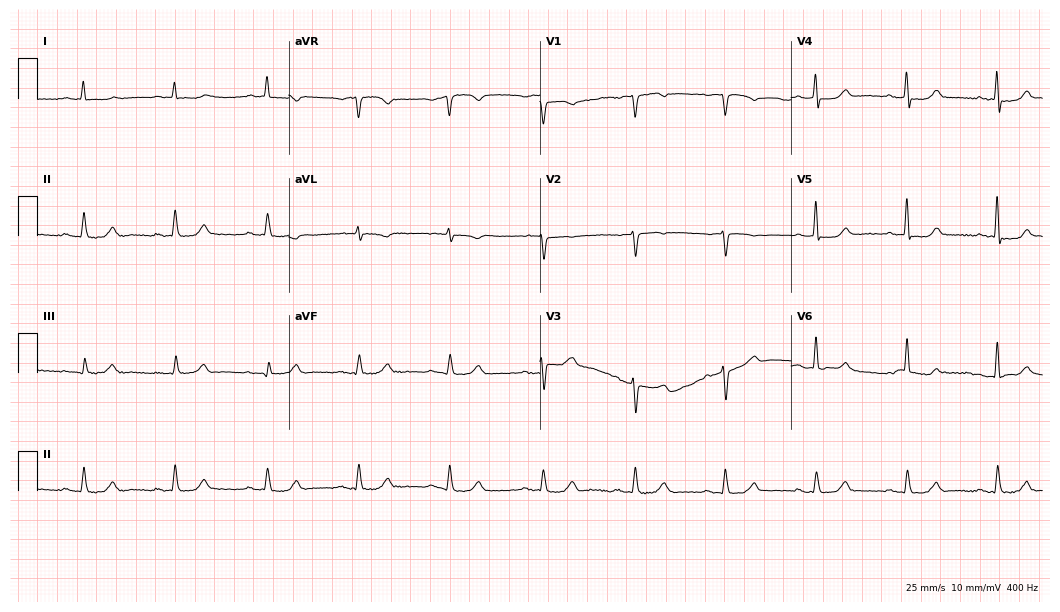
Resting 12-lead electrocardiogram (10.2-second recording at 400 Hz). Patient: a 79-year-old female. None of these six findings is recorded: first-degree AV block, right bundle branch block, left bundle branch block, sinus bradycardia, atrial fibrillation, sinus tachycardia. Only these six findings were labelled.